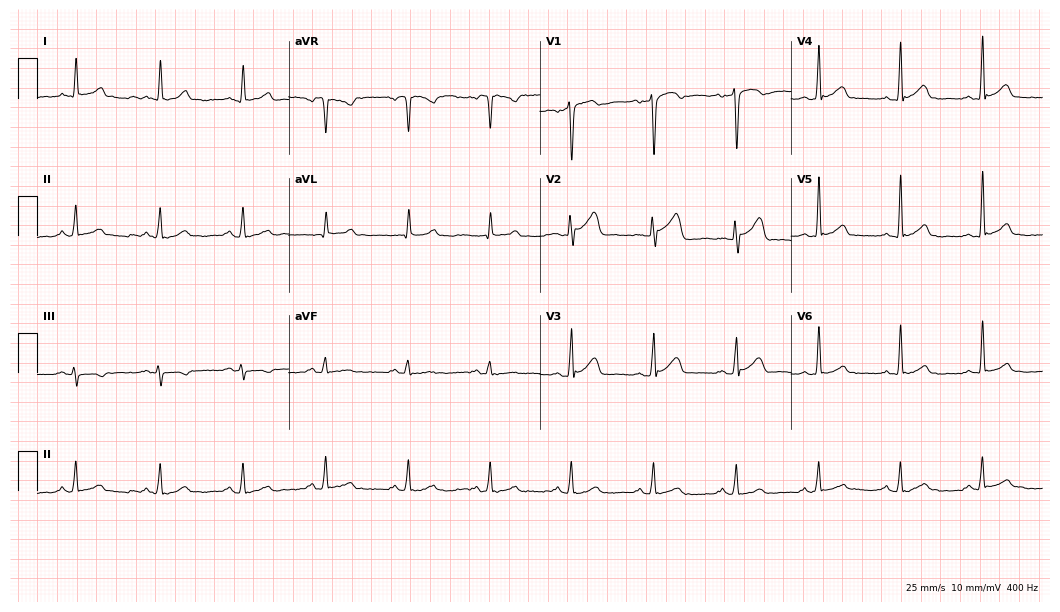
ECG — a male patient, 47 years old. Labelled as a normal ECG.